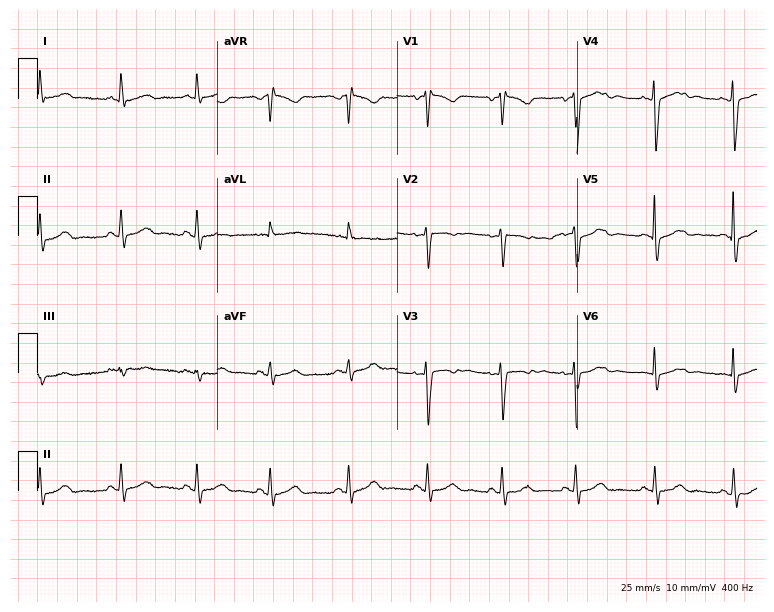
Resting 12-lead electrocardiogram. Patient: a female, 33 years old. None of these six findings is recorded: first-degree AV block, right bundle branch block (RBBB), left bundle branch block (LBBB), sinus bradycardia, atrial fibrillation (AF), sinus tachycardia. Other findings, if any, are not listed.